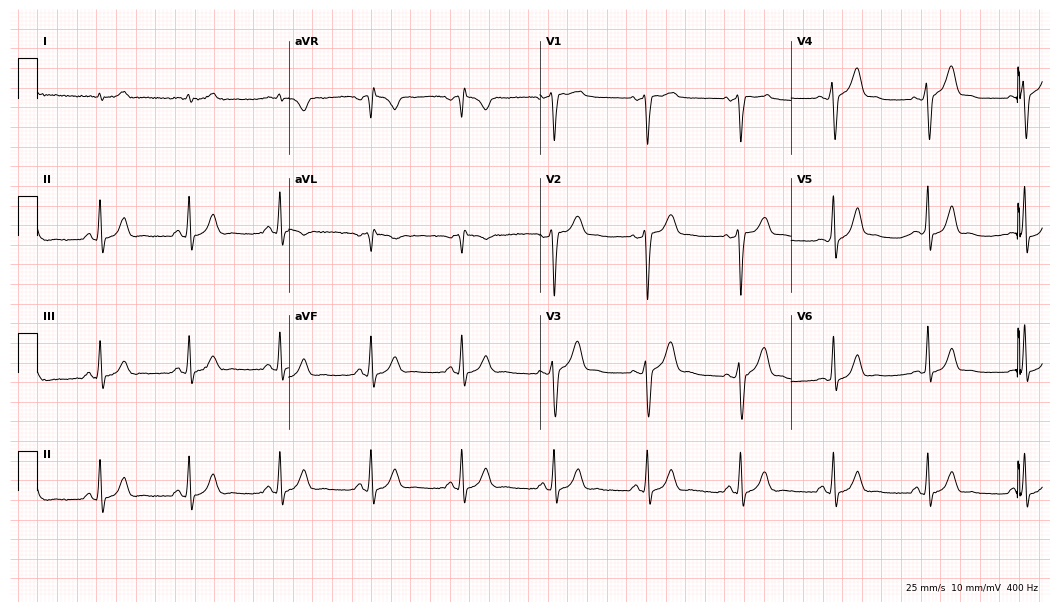
Electrocardiogram (10.2-second recording at 400 Hz), a 34-year-old male patient. Of the six screened findings (first-degree AV block, right bundle branch block, left bundle branch block, sinus bradycardia, atrial fibrillation, sinus tachycardia), none is recorded. Other findings, if any, are not listed.